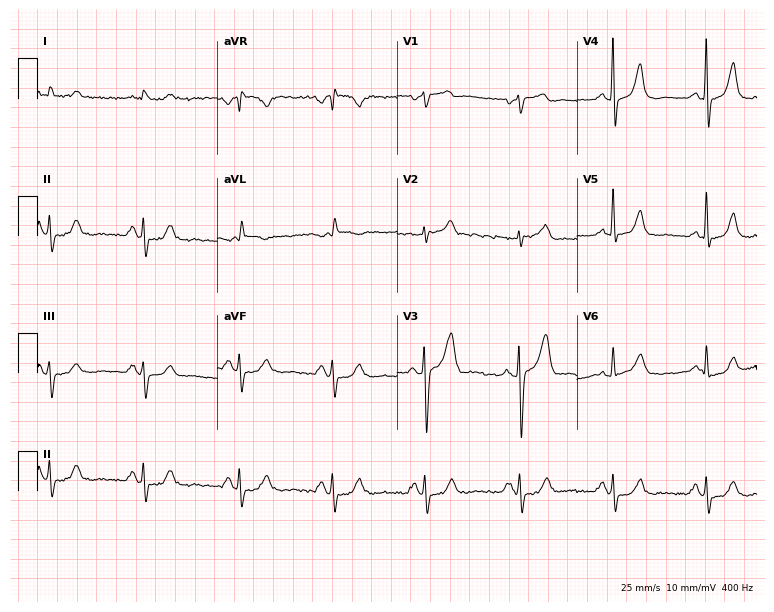
Resting 12-lead electrocardiogram (7.3-second recording at 400 Hz). Patient: a male, 68 years old. None of these six findings is recorded: first-degree AV block, right bundle branch block, left bundle branch block, sinus bradycardia, atrial fibrillation, sinus tachycardia.